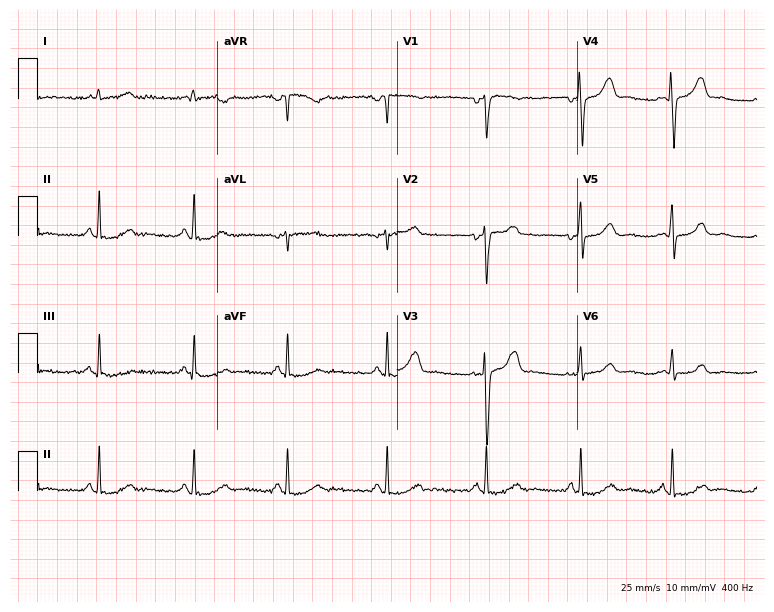
ECG — a 37-year-old female patient. Labelled as a normal ECG.